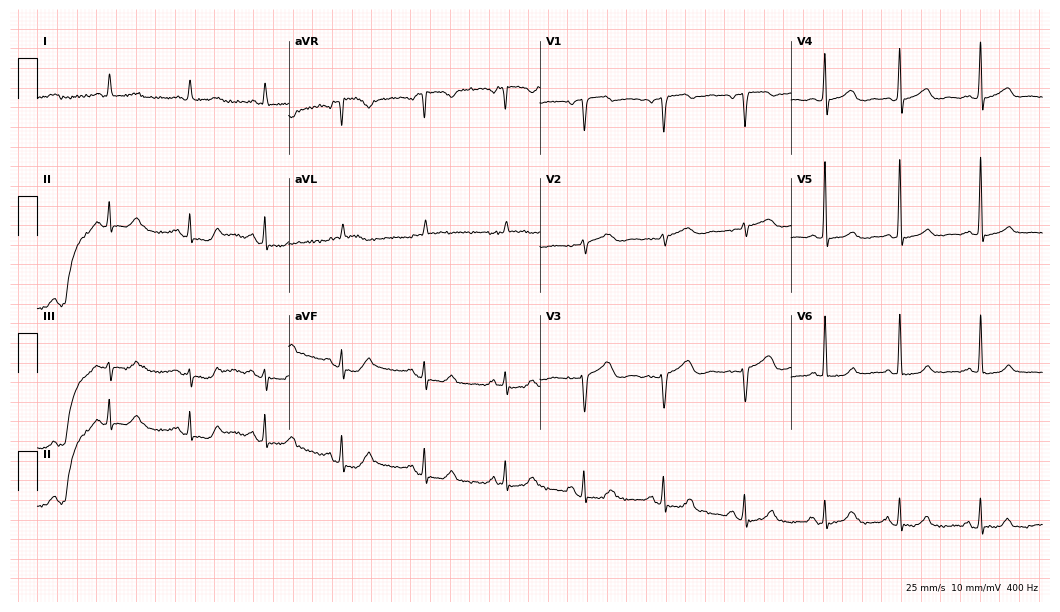
Electrocardiogram (10.2-second recording at 400 Hz), a female, 57 years old. Overall reading on record: normal ECG.